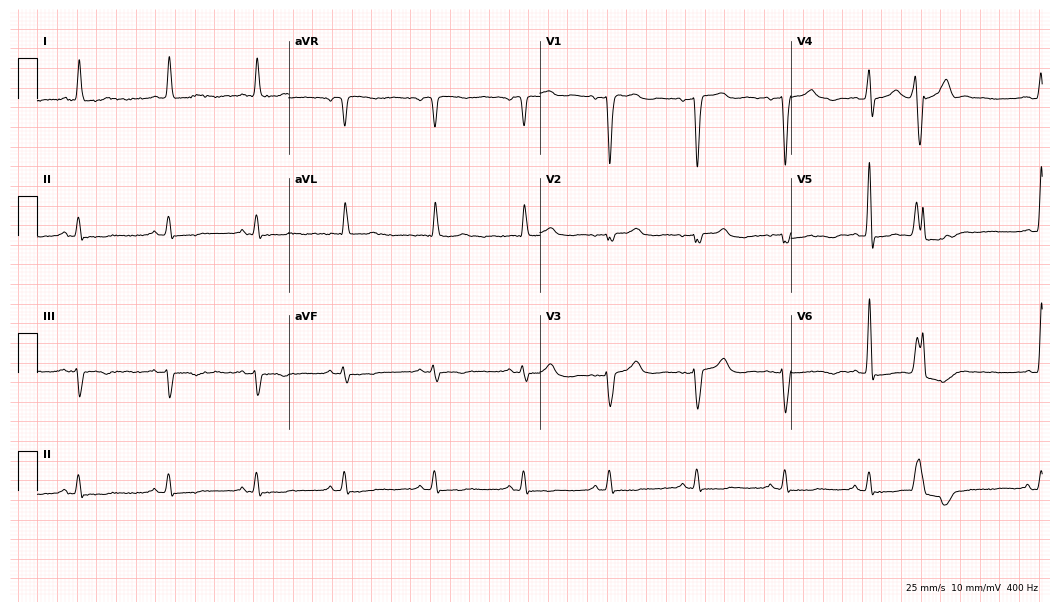
Resting 12-lead electrocardiogram (10.2-second recording at 400 Hz). Patient: a 73-year-old woman. None of these six findings is recorded: first-degree AV block, right bundle branch block, left bundle branch block, sinus bradycardia, atrial fibrillation, sinus tachycardia. Findings outside these six are not listed.